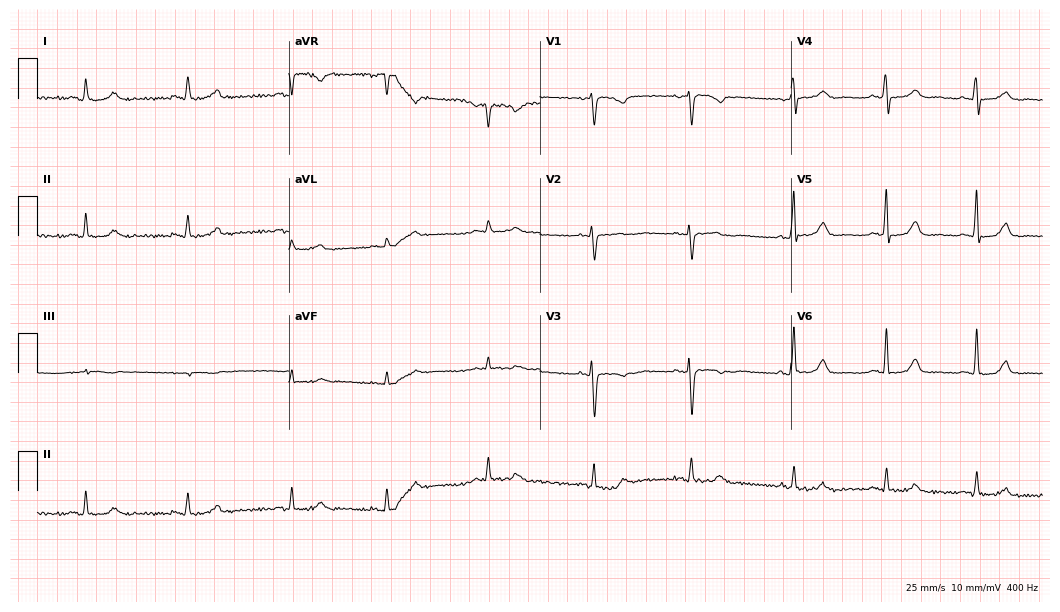
ECG — a woman, 53 years old. Screened for six findings — first-degree AV block, right bundle branch block, left bundle branch block, sinus bradycardia, atrial fibrillation, sinus tachycardia — none is recorded. Other findings, if any, are not listed.